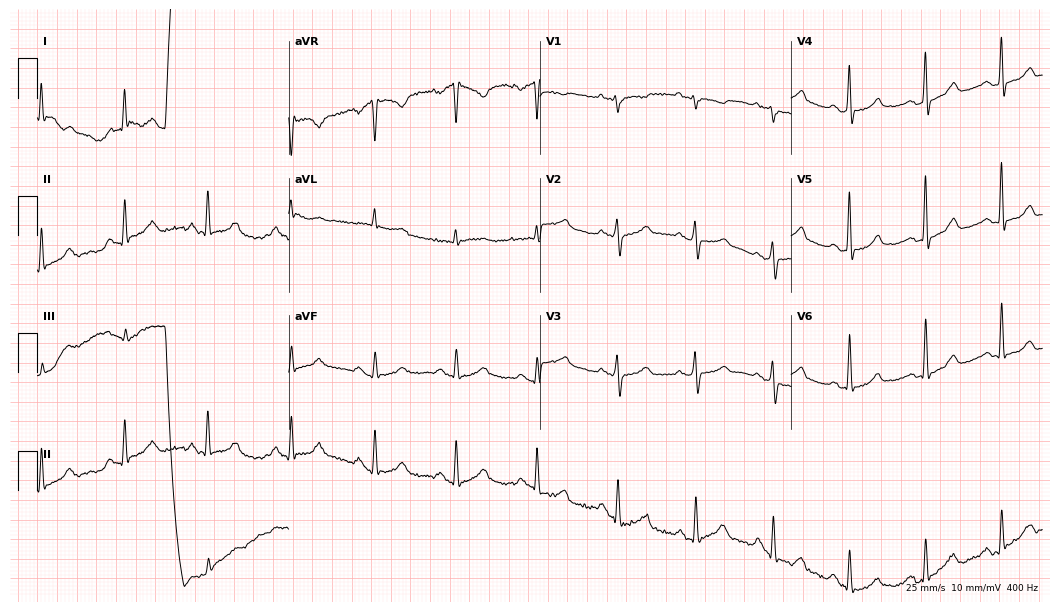
Resting 12-lead electrocardiogram (10.2-second recording at 400 Hz). Patient: a woman, 57 years old. None of these six findings is recorded: first-degree AV block, right bundle branch block (RBBB), left bundle branch block (LBBB), sinus bradycardia, atrial fibrillation (AF), sinus tachycardia.